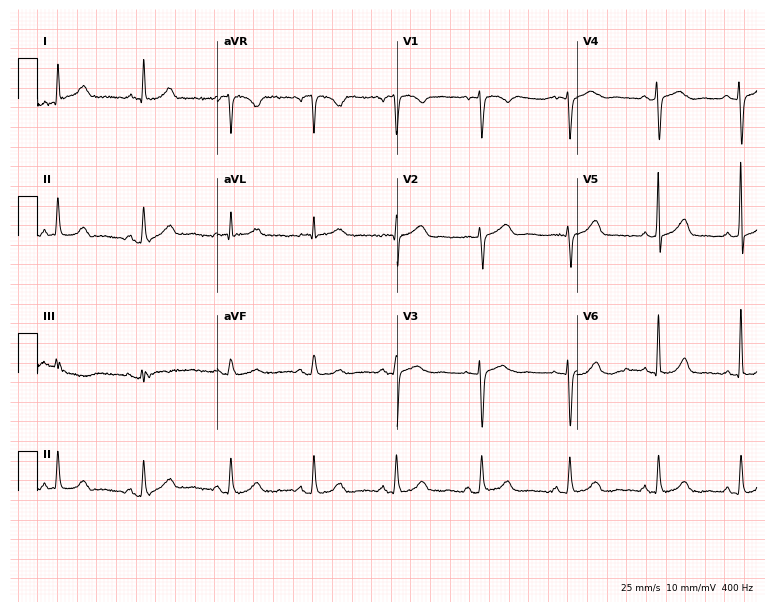
12-lead ECG from a female, 39 years old (7.3-second recording at 400 Hz). Recorded interpretation: within normal limits.